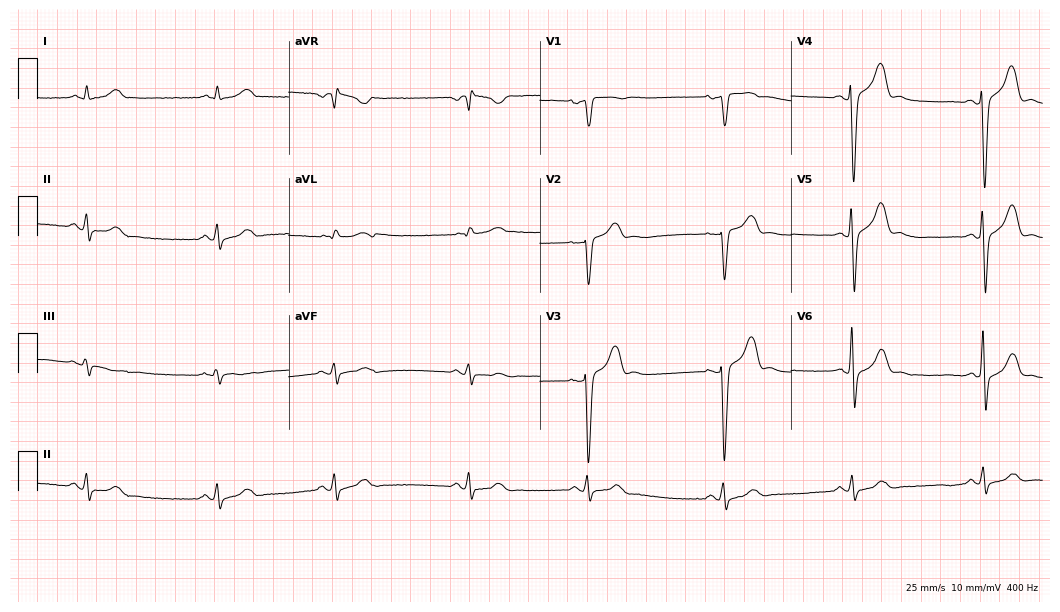
12-lead ECG (10.2-second recording at 400 Hz) from a 65-year-old male. Screened for six findings — first-degree AV block, right bundle branch block, left bundle branch block, sinus bradycardia, atrial fibrillation, sinus tachycardia — none is recorded.